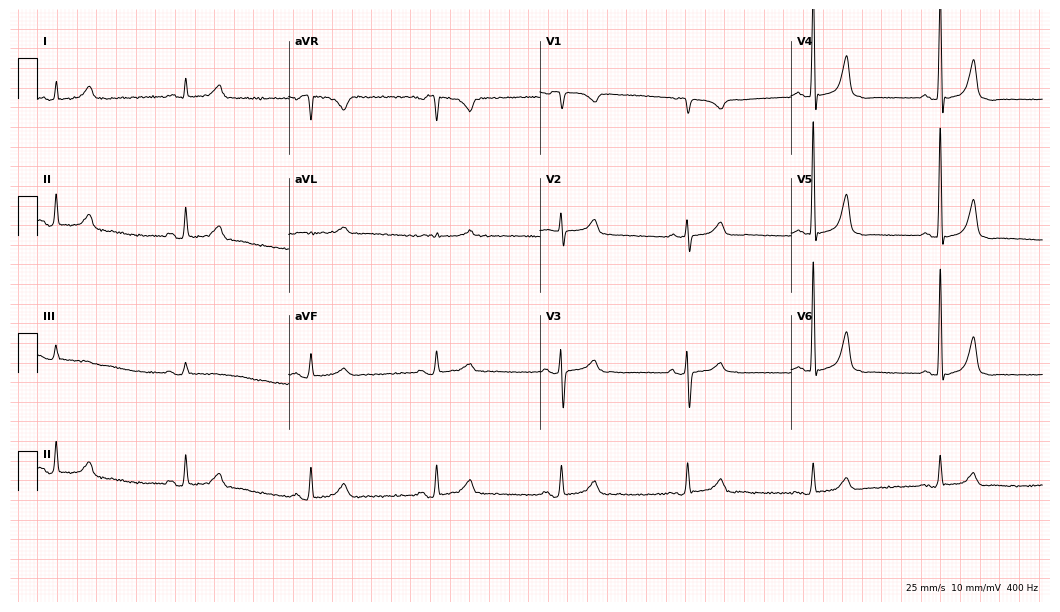
Resting 12-lead electrocardiogram (10.2-second recording at 400 Hz). Patient: a 75-year-old man. None of these six findings is recorded: first-degree AV block, right bundle branch block, left bundle branch block, sinus bradycardia, atrial fibrillation, sinus tachycardia.